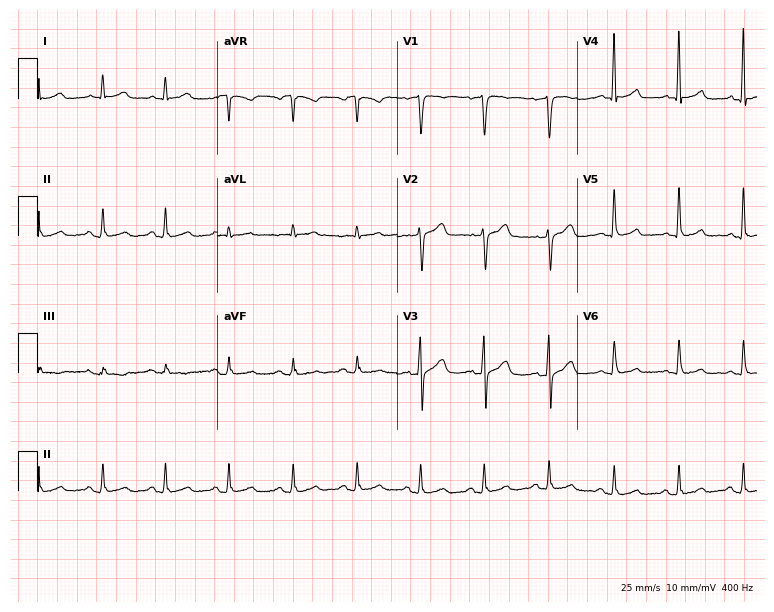
Resting 12-lead electrocardiogram (7.3-second recording at 400 Hz). Patient: a man, 51 years old. Read as a normal ECG.